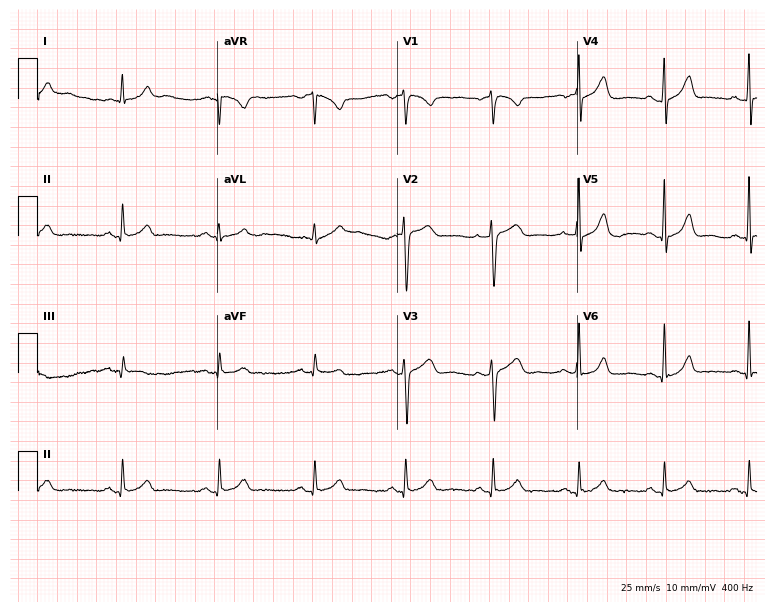
Electrocardiogram (7.3-second recording at 400 Hz), a 51-year-old male patient. Of the six screened findings (first-degree AV block, right bundle branch block, left bundle branch block, sinus bradycardia, atrial fibrillation, sinus tachycardia), none is recorded. Only these six findings were labelled.